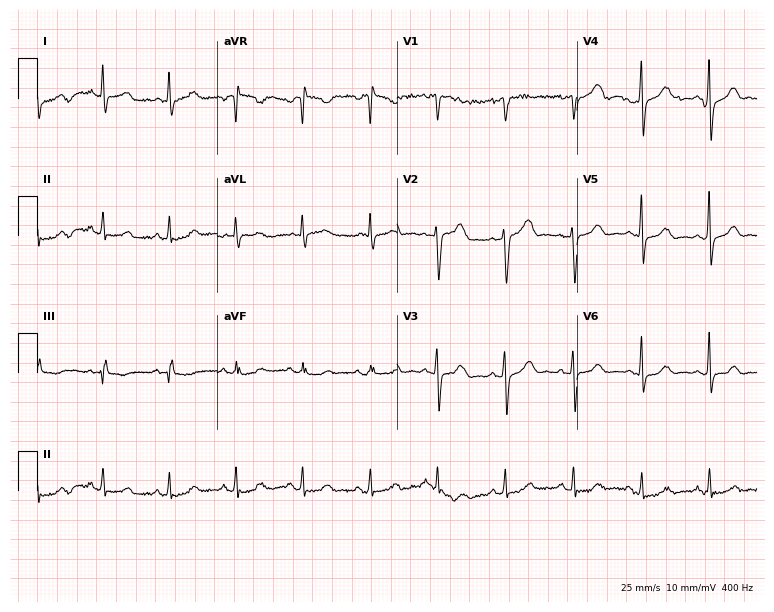
Electrocardiogram, a female patient, 48 years old. Overall reading on record: normal ECG.